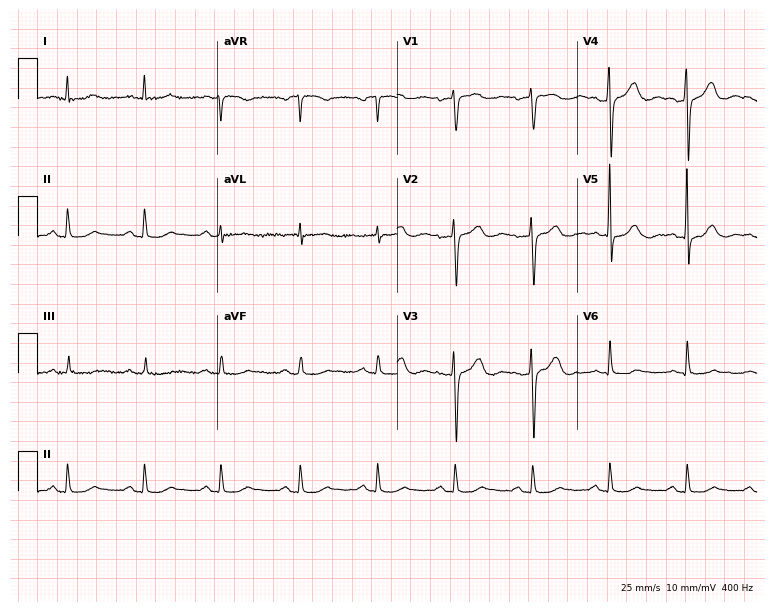
12-lead ECG from an 81-year-old male patient. Labelled as a normal ECG.